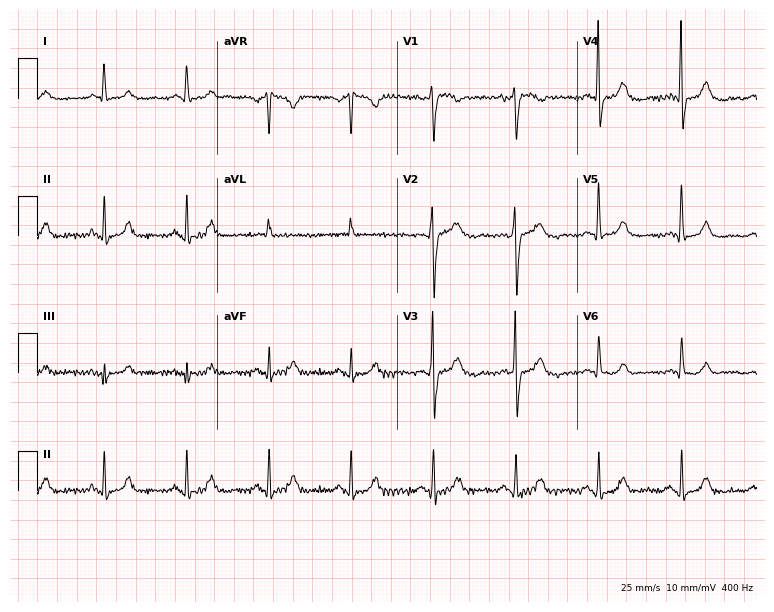
Standard 12-lead ECG recorded from a female, 74 years old. None of these six findings is recorded: first-degree AV block, right bundle branch block (RBBB), left bundle branch block (LBBB), sinus bradycardia, atrial fibrillation (AF), sinus tachycardia.